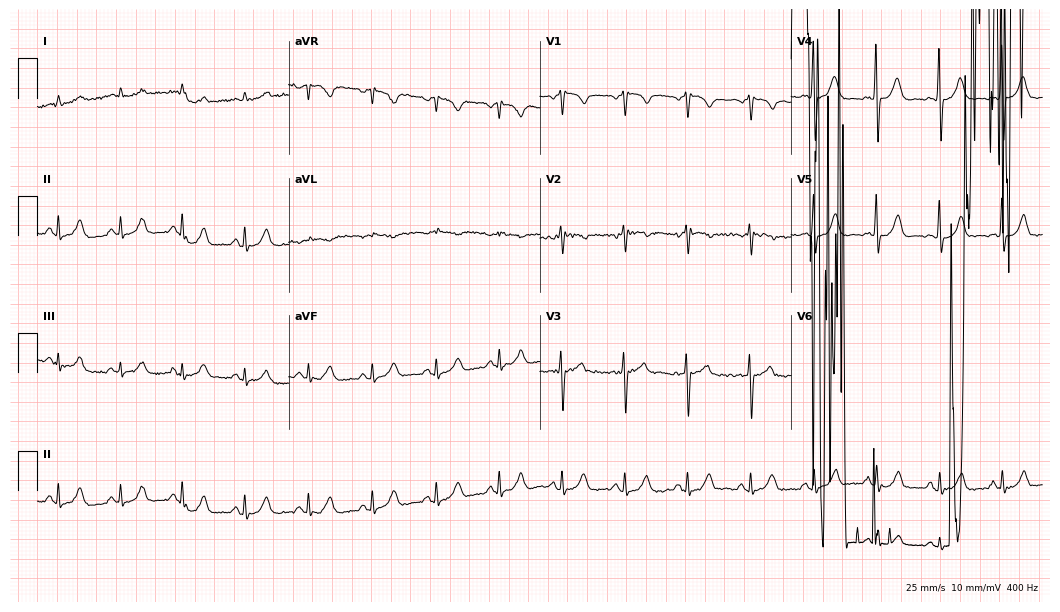
Resting 12-lead electrocardiogram. Patient: a male, 45 years old. None of these six findings is recorded: first-degree AV block, right bundle branch block, left bundle branch block, sinus bradycardia, atrial fibrillation, sinus tachycardia. Other findings, if any, are not listed.